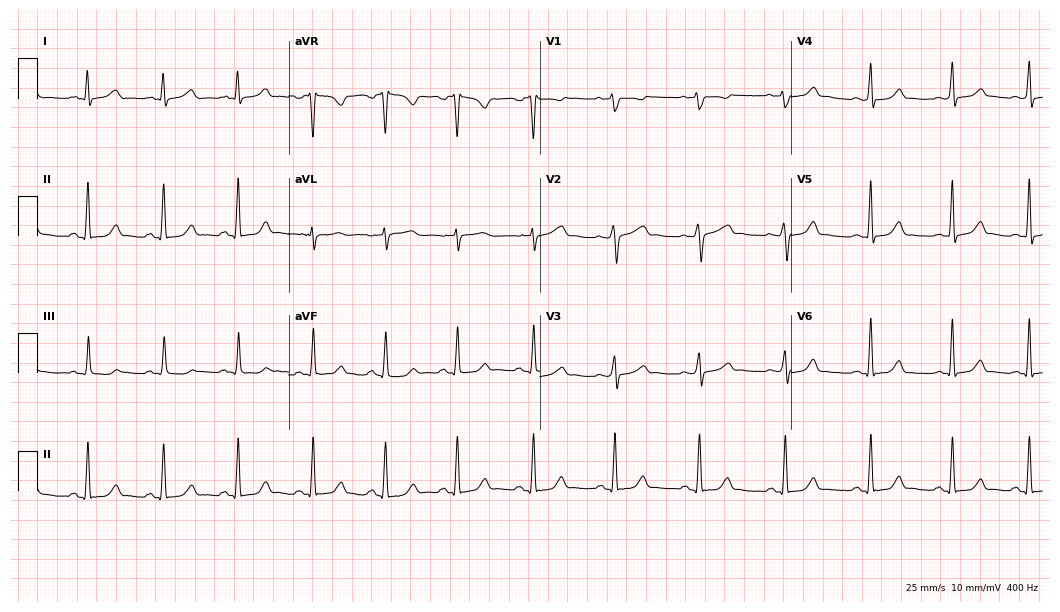
12-lead ECG from a 30-year-old female. Recorded interpretation: within normal limits.